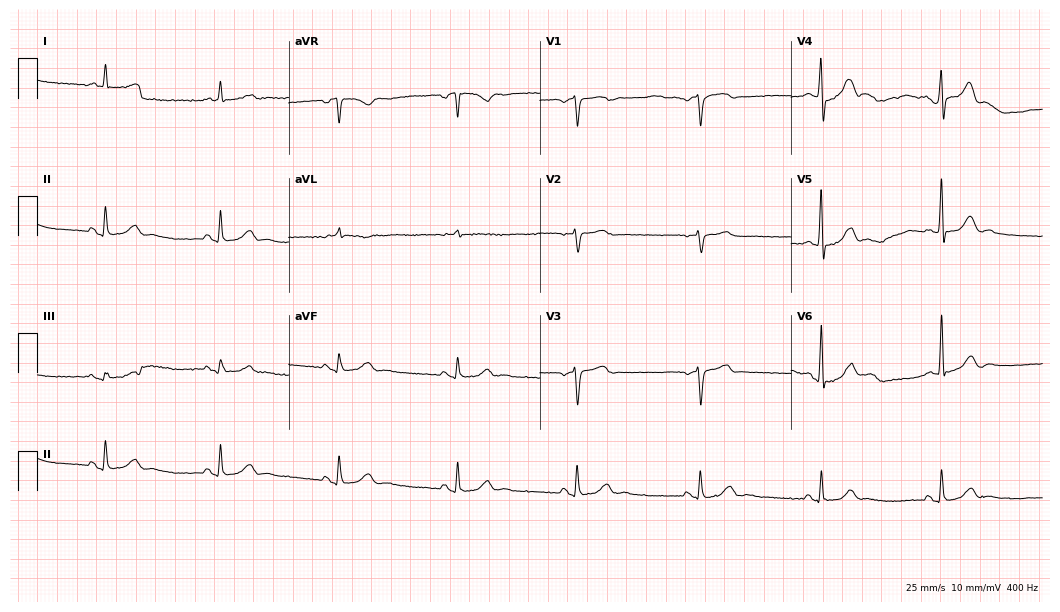
12-lead ECG (10.2-second recording at 400 Hz) from a 77-year-old man. Findings include sinus bradycardia (a sinus rate of 50 beats per minute or less).